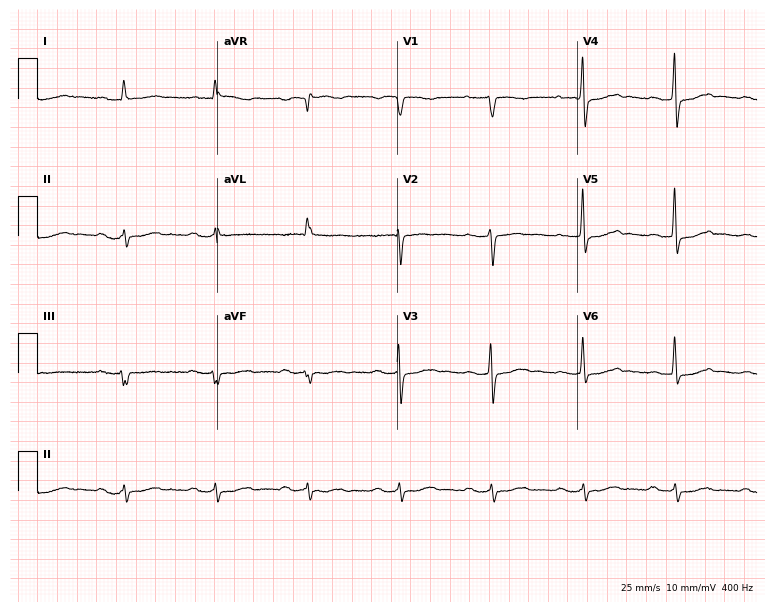
Standard 12-lead ECG recorded from a 79-year-old female (7.3-second recording at 400 Hz). The tracing shows first-degree AV block.